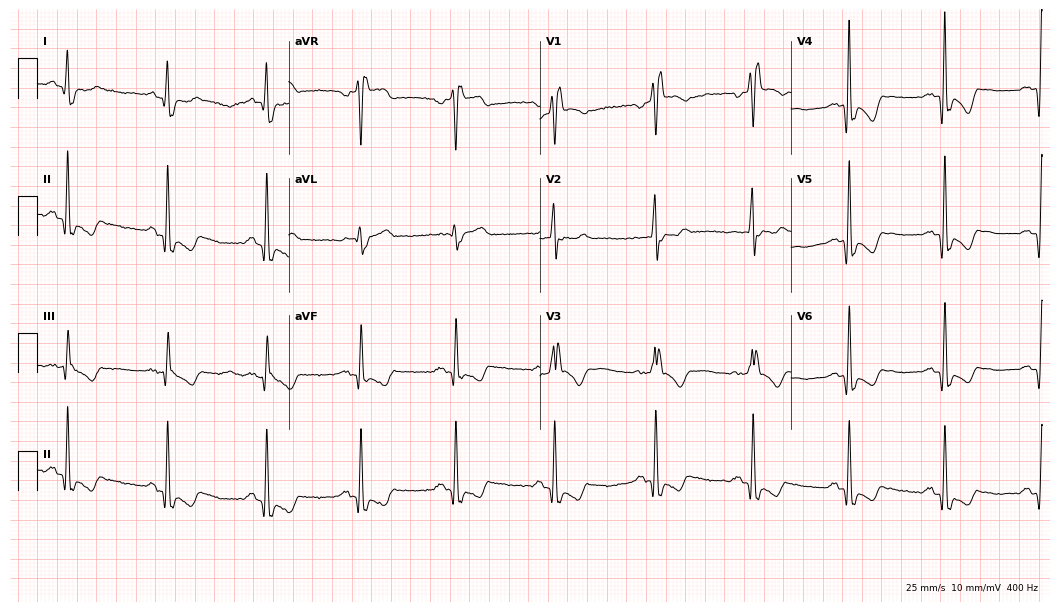
Standard 12-lead ECG recorded from a male, 51 years old (10.2-second recording at 400 Hz). The tracing shows right bundle branch block.